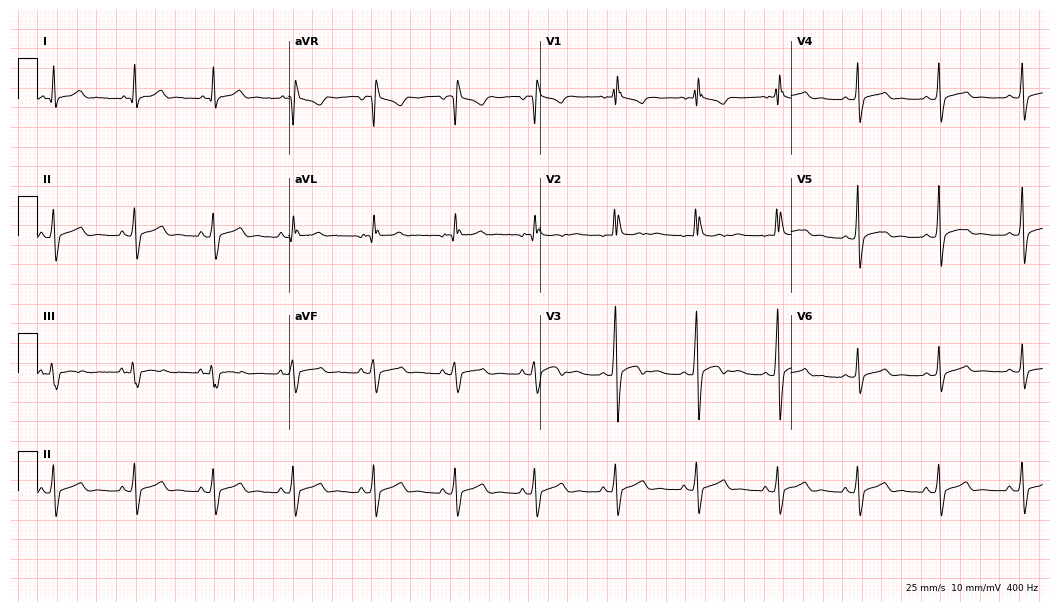
Electrocardiogram, a male, 17 years old. Interpretation includes right bundle branch block (RBBB).